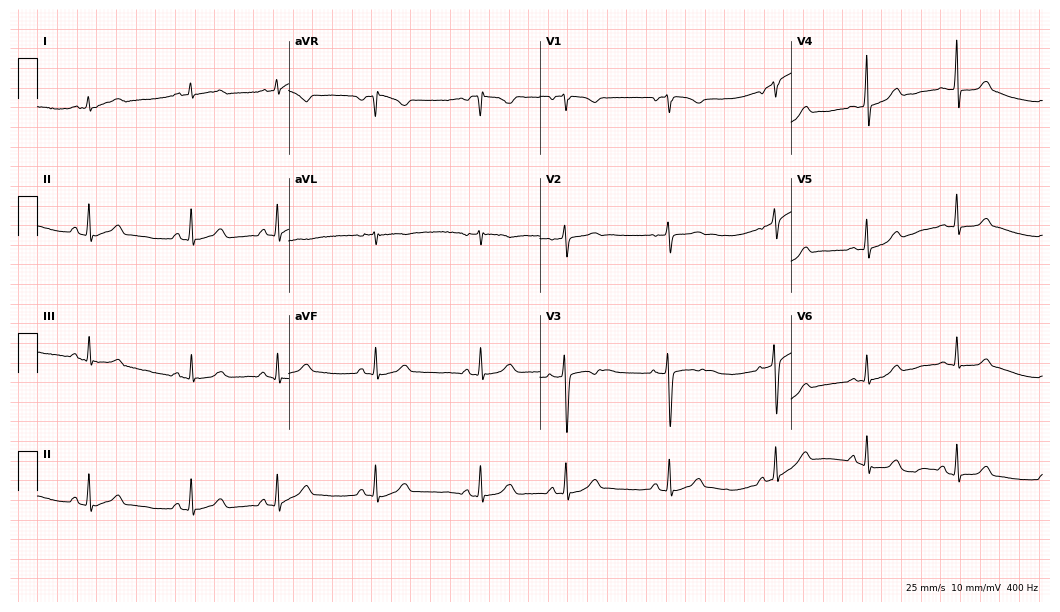
Electrocardiogram (10.2-second recording at 400 Hz), a 17-year-old female patient. Overall reading on record: normal ECG.